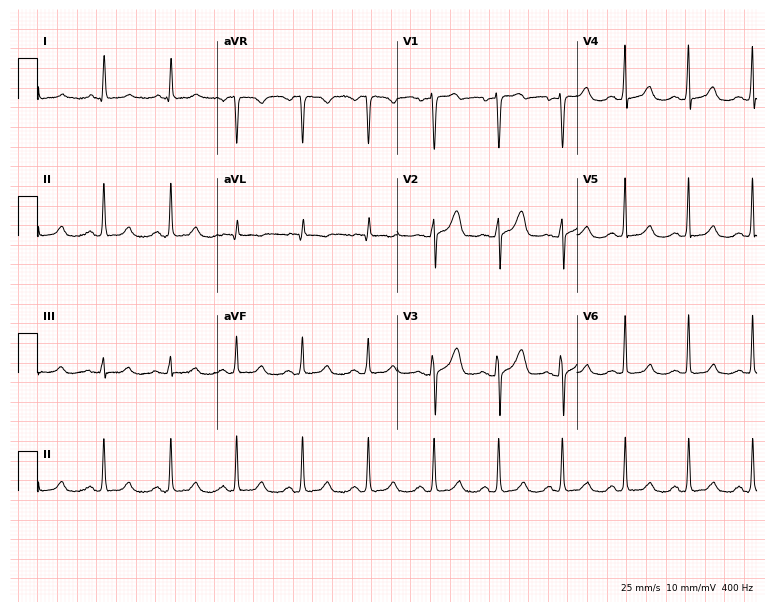
Standard 12-lead ECG recorded from a woman, 49 years old (7.3-second recording at 400 Hz). Read as a normal ECG.